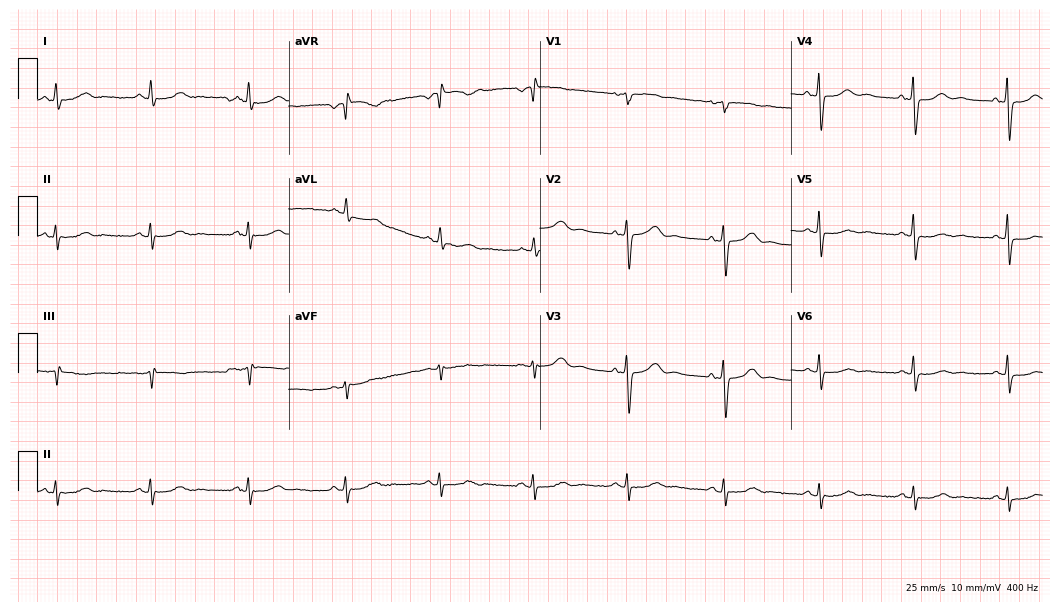
Resting 12-lead electrocardiogram (10.2-second recording at 400 Hz). Patient: a 56-year-old female. Read as a normal ECG.